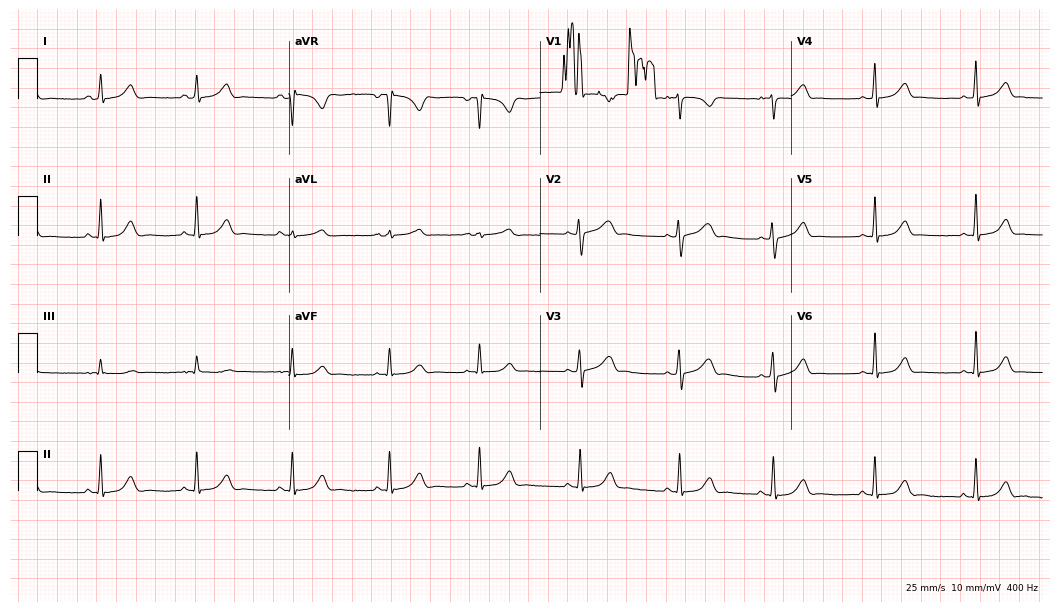
12-lead ECG from a 28-year-old female patient. No first-degree AV block, right bundle branch block, left bundle branch block, sinus bradycardia, atrial fibrillation or sinus tachycardia recorded for this tracing.